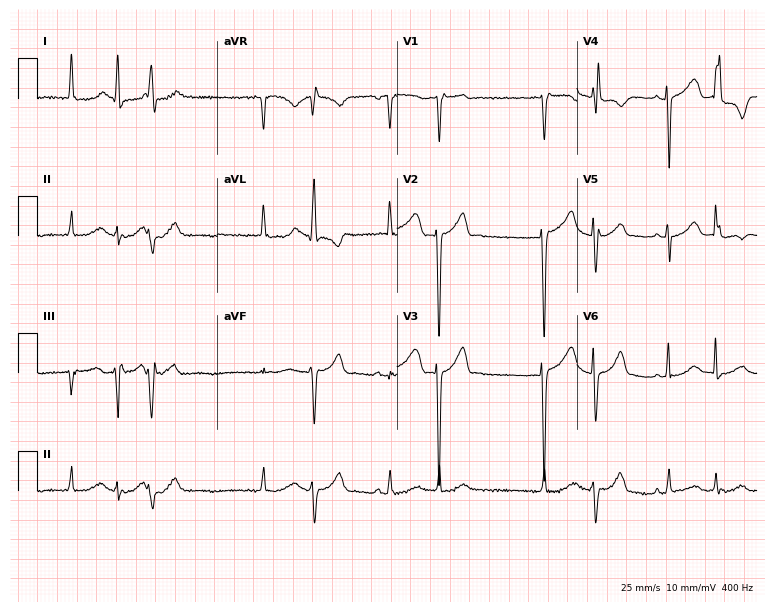
12-lead ECG from a female, 45 years old. Screened for six findings — first-degree AV block, right bundle branch block, left bundle branch block, sinus bradycardia, atrial fibrillation, sinus tachycardia — none is recorded. Findings outside these six are not listed.